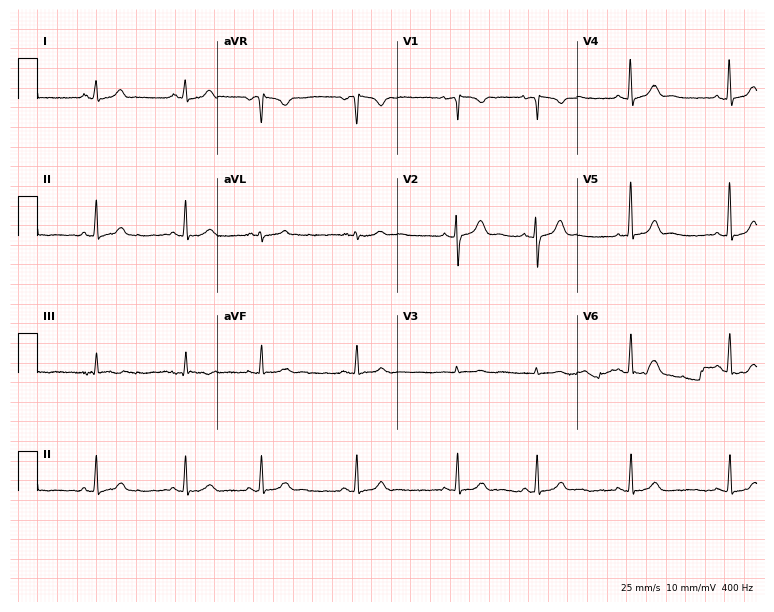
ECG (7.3-second recording at 400 Hz) — a 23-year-old female. Screened for six findings — first-degree AV block, right bundle branch block, left bundle branch block, sinus bradycardia, atrial fibrillation, sinus tachycardia — none is recorded.